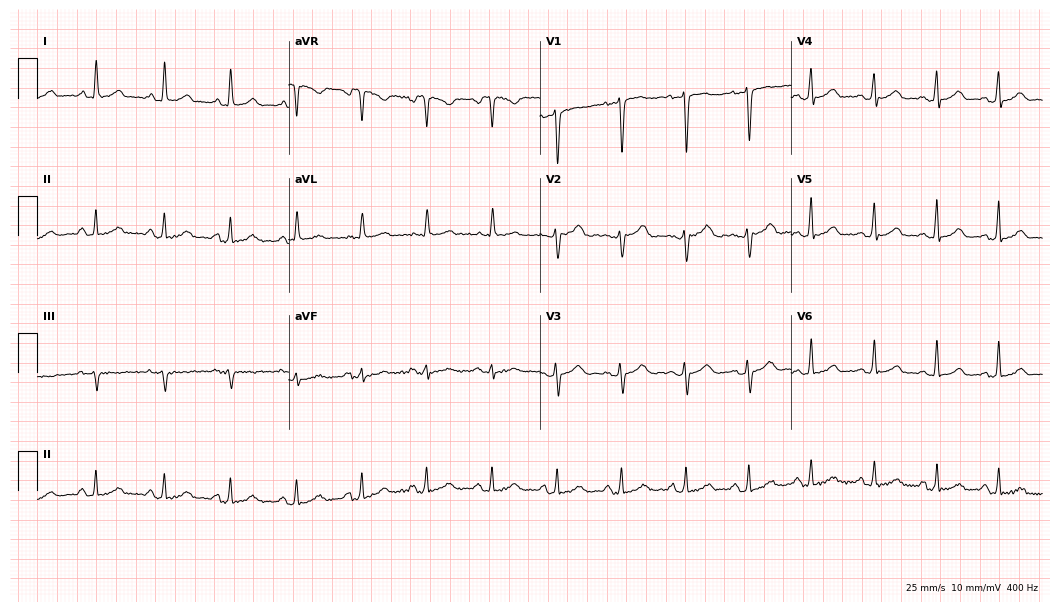
Standard 12-lead ECG recorded from a 21-year-old female patient. Read as a normal ECG.